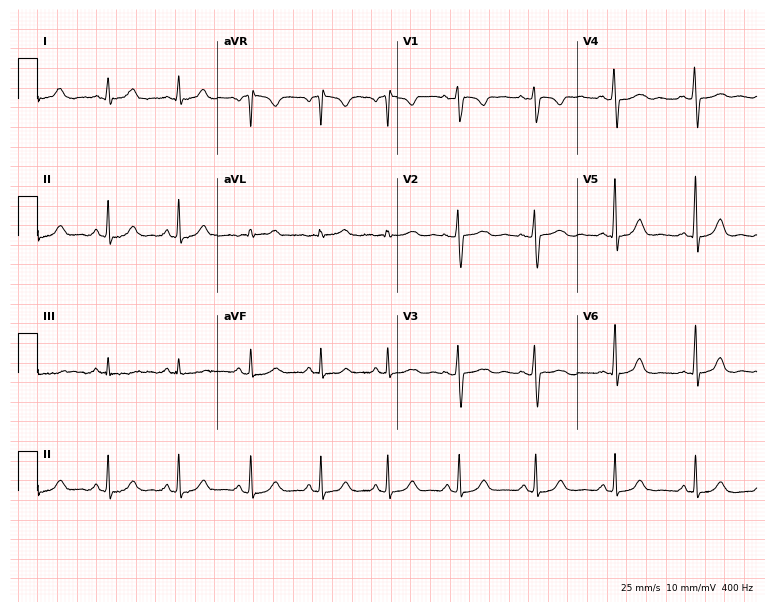
Standard 12-lead ECG recorded from a 32-year-old woman (7.3-second recording at 400 Hz). Read as a normal ECG.